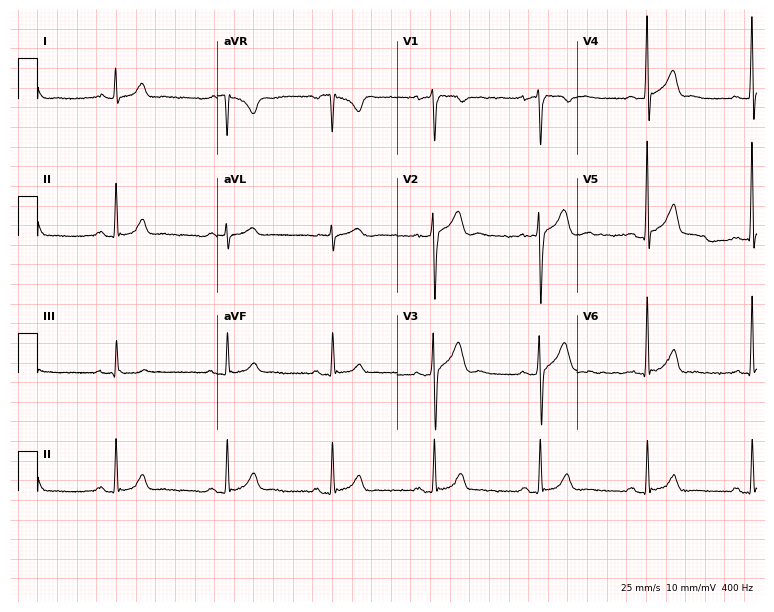
Electrocardiogram (7.3-second recording at 400 Hz), a 26-year-old male patient. Overall reading on record: normal ECG.